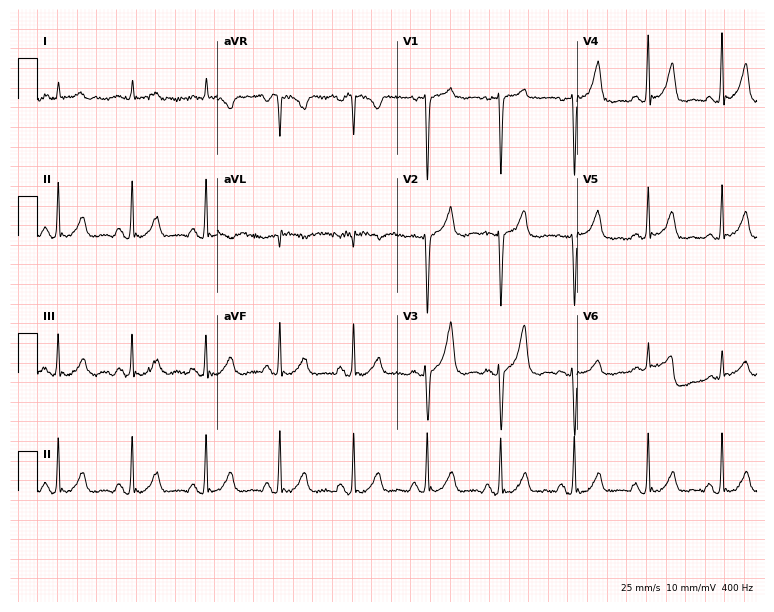
Electrocardiogram (7.3-second recording at 400 Hz), a 70-year-old male. Of the six screened findings (first-degree AV block, right bundle branch block, left bundle branch block, sinus bradycardia, atrial fibrillation, sinus tachycardia), none is recorded.